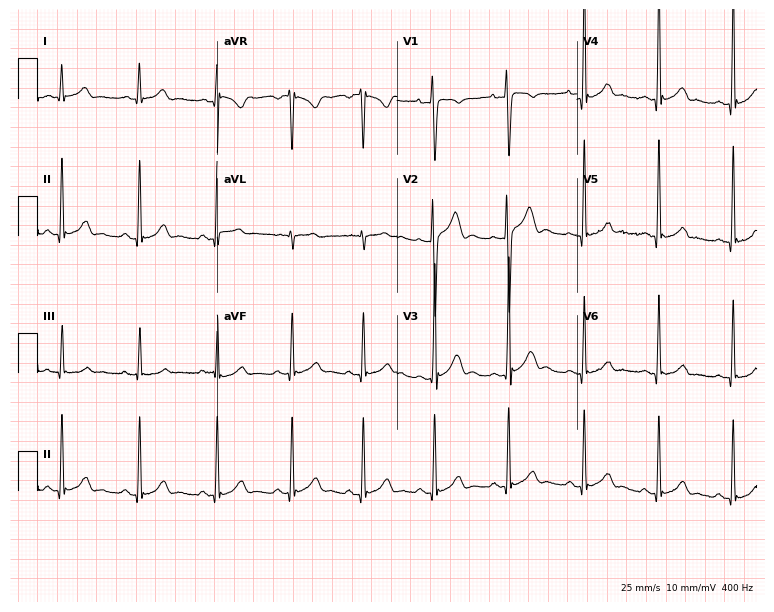
ECG — a male patient, 25 years old. Labelled as a normal ECG.